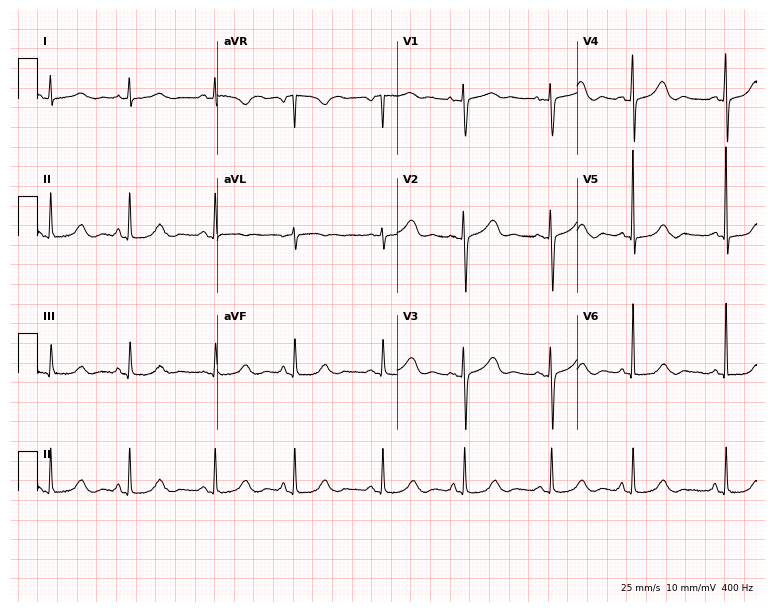
Electrocardiogram, a female patient, 60 years old. Of the six screened findings (first-degree AV block, right bundle branch block (RBBB), left bundle branch block (LBBB), sinus bradycardia, atrial fibrillation (AF), sinus tachycardia), none is recorded. Findings outside these six are not listed.